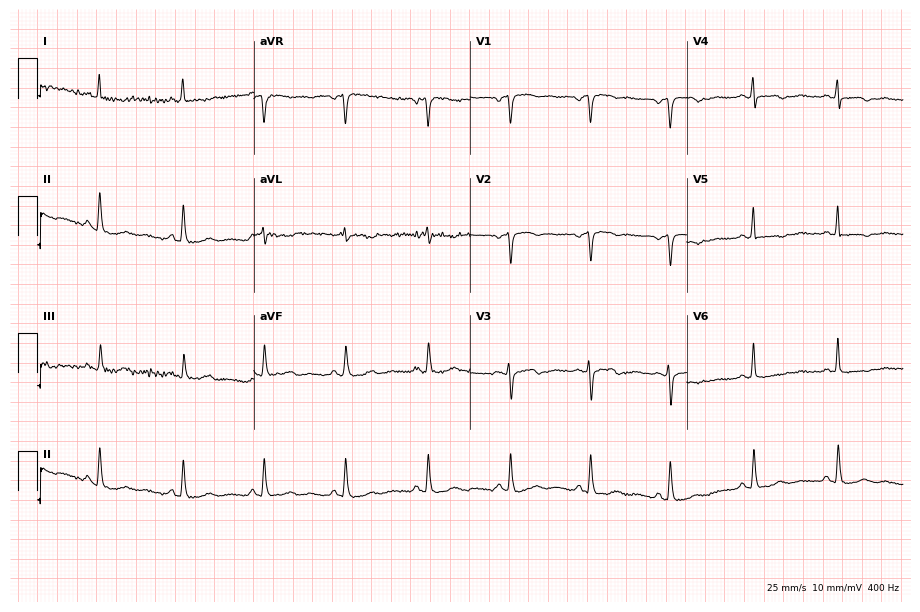
12-lead ECG from a 52-year-old female patient (8.8-second recording at 400 Hz). No first-degree AV block, right bundle branch block (RBBB), left bundle branch block (LBBB), sinus bradycardia, atrial fibrillation (AF) or sinus tachycardia recorded for this tracing.